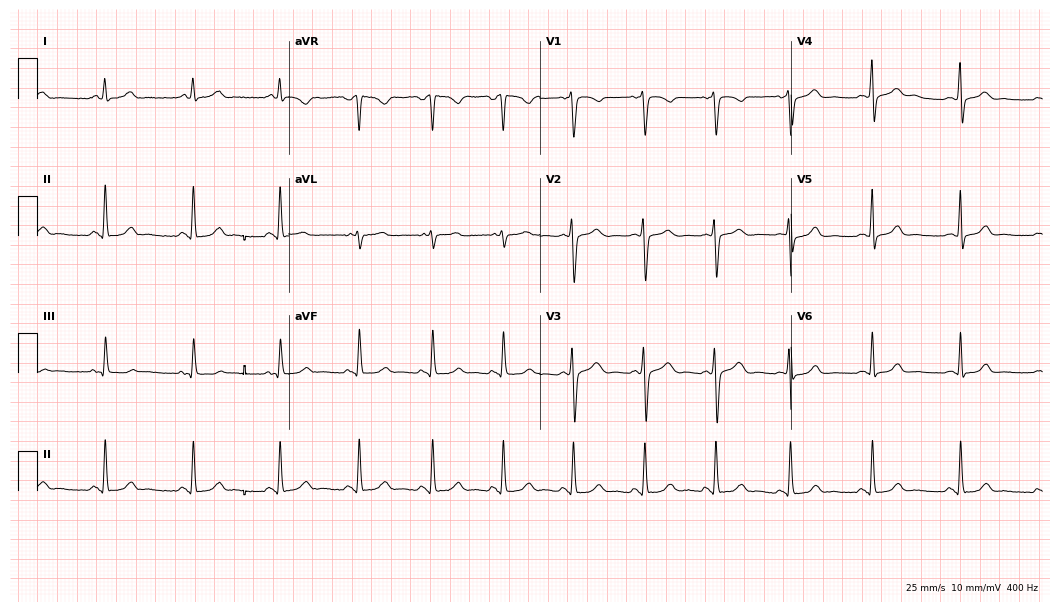
12-lead ECG from a 27-year-old woman (10.2-second recording at 400 Hz). Recorded interpretation: within normal limits.